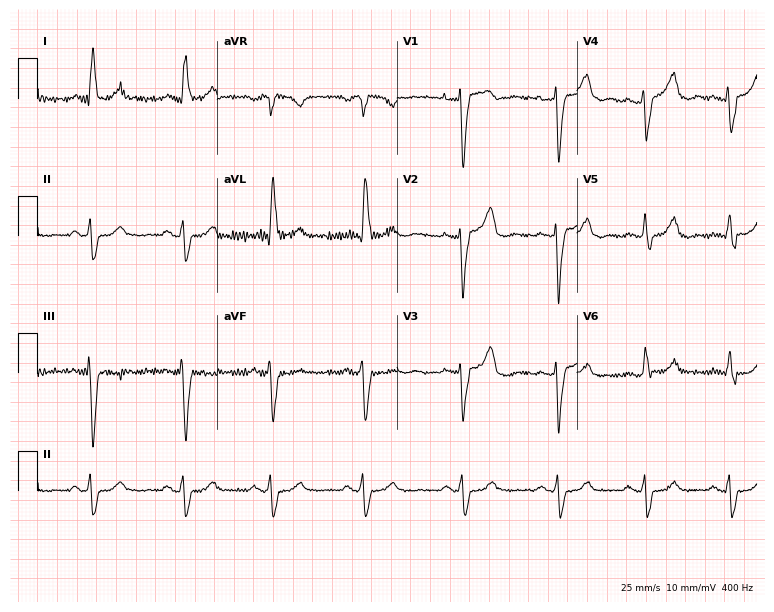
12-lead ECG (7.3-second recording at 400 Hz) from a female, 47 years old. Screened for six findings — first-degree AV block, right bundle branch block, left bundle branch block, sinus bradycardia, atrial fibrillation, sinus tachycardia — none is recorded.